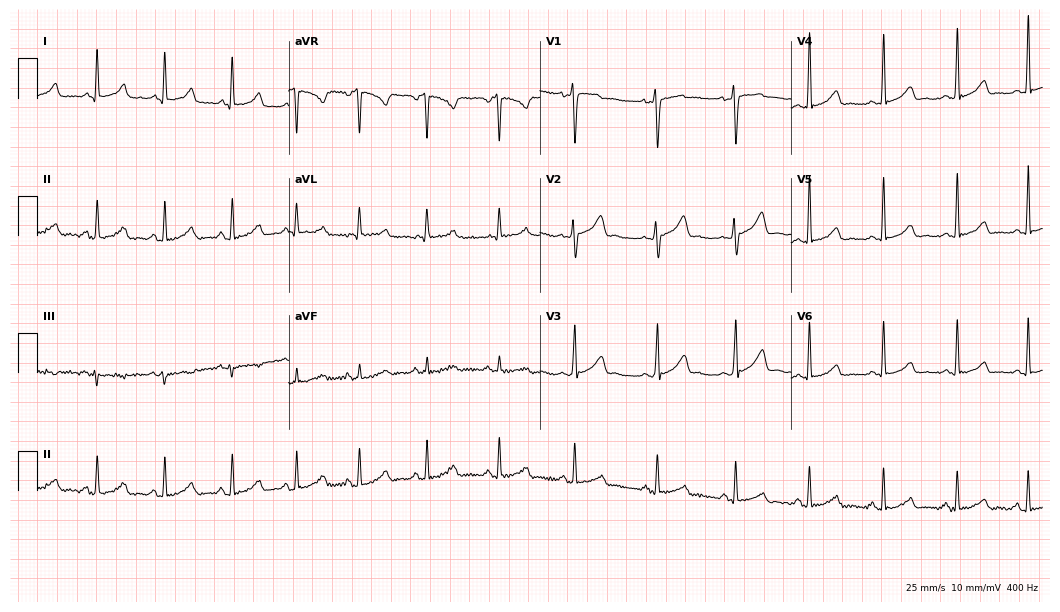
Standard 12-lead ECG recorded from a female patient, 38 years old (10.2-second recording at 400 Hz). Read as a normal ECG.